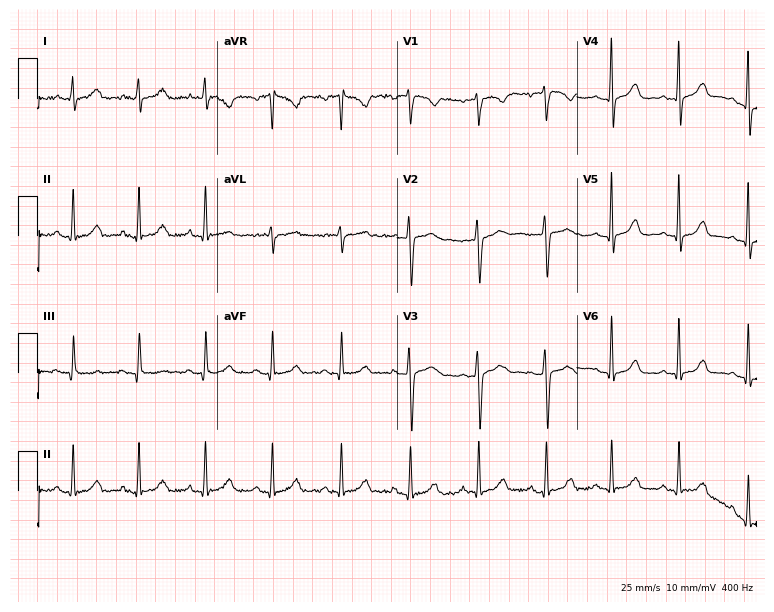
12-lead ECG from a woman, 41 years old. No first-degree AV block, right bundle branch block, left bundle branch block, sinus bradycardia, atrial fibrillation or sinus tachycardia recorded for this tracing. Findings outside these six are not listed.